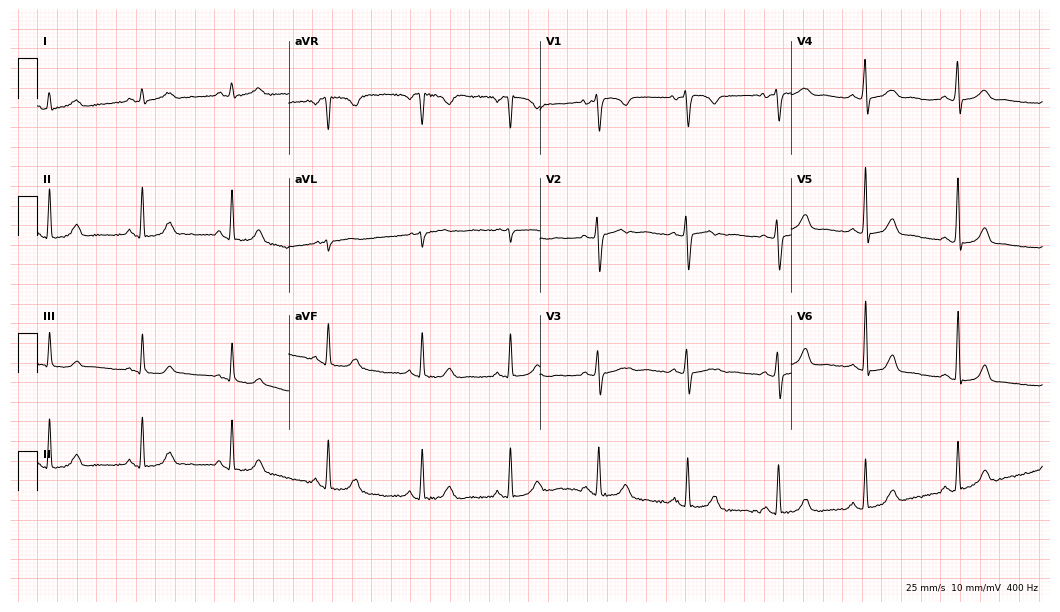
12-lead ECG (10.2-second recording at 400 Hz) from a female patient, 27 years old. Labelled as a normal ECG.